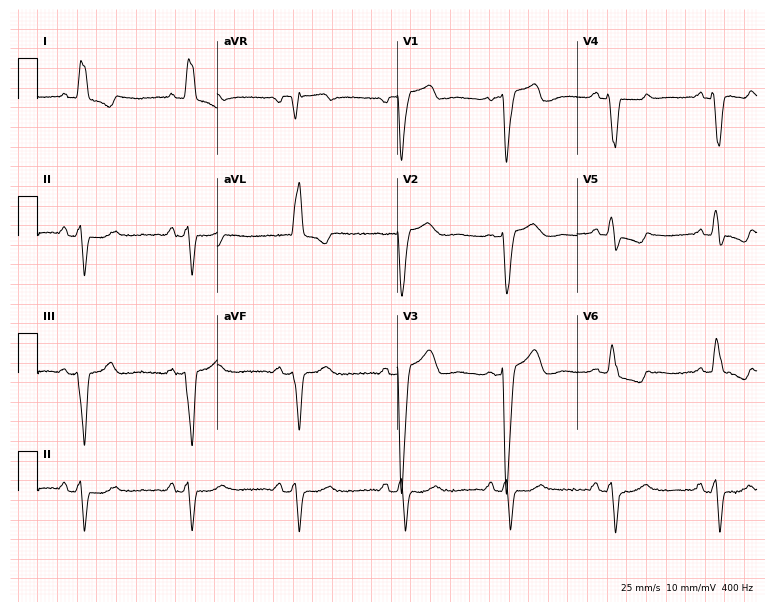
Electrocardiogram, a female, 83 years old. Interpretation includes left bundle branch block.